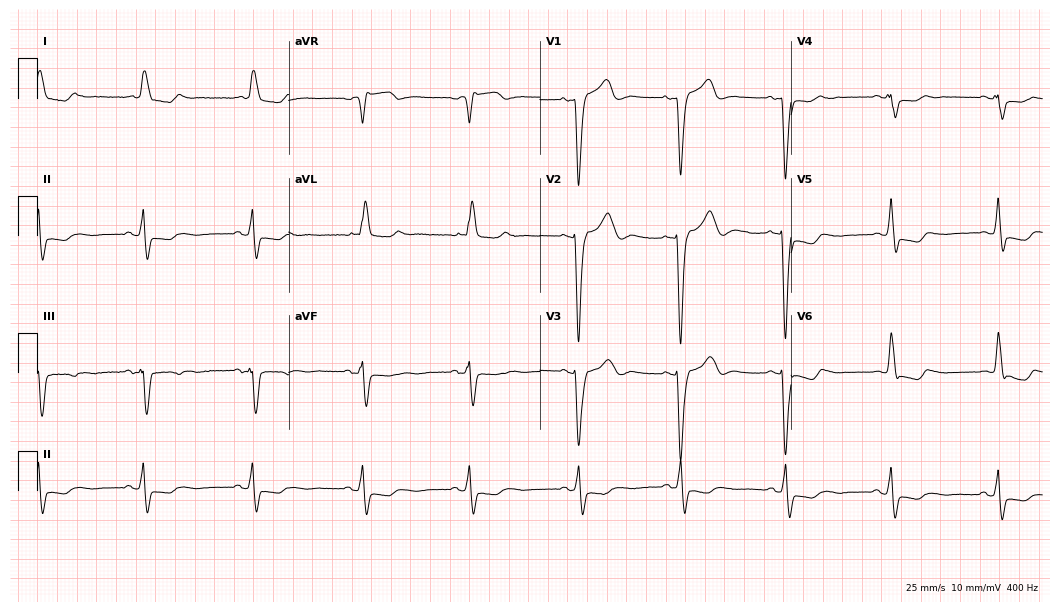
Resting 12-lead electrocardiogram. Patient: an 84-year-old female. The tracing shows left bundle branch block (LBBB).